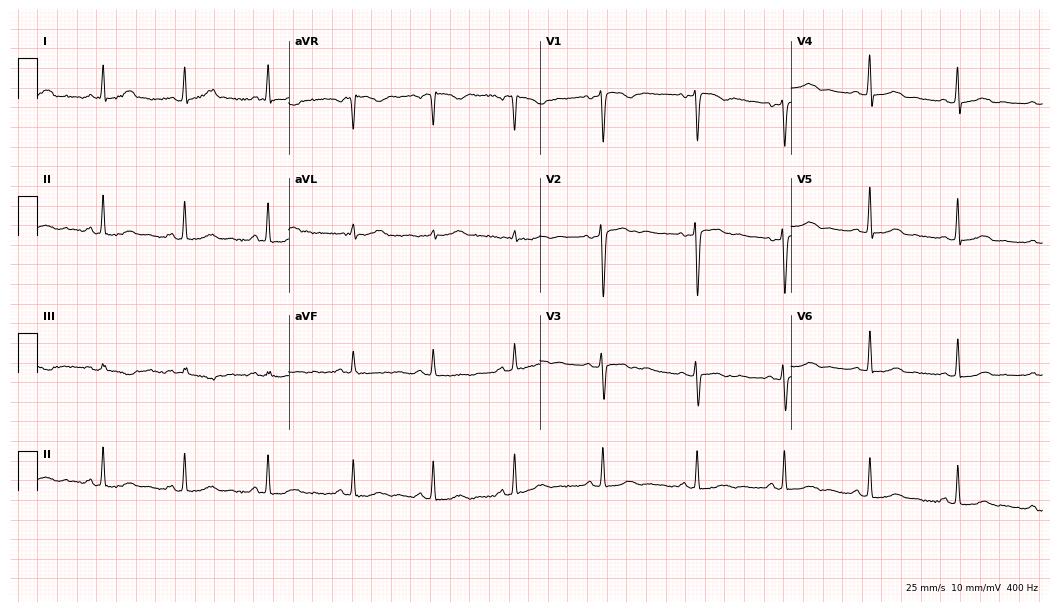
Resting 12-lead electrocardiogram. Patient: a female, 31 years old. Read as a normal ECG.